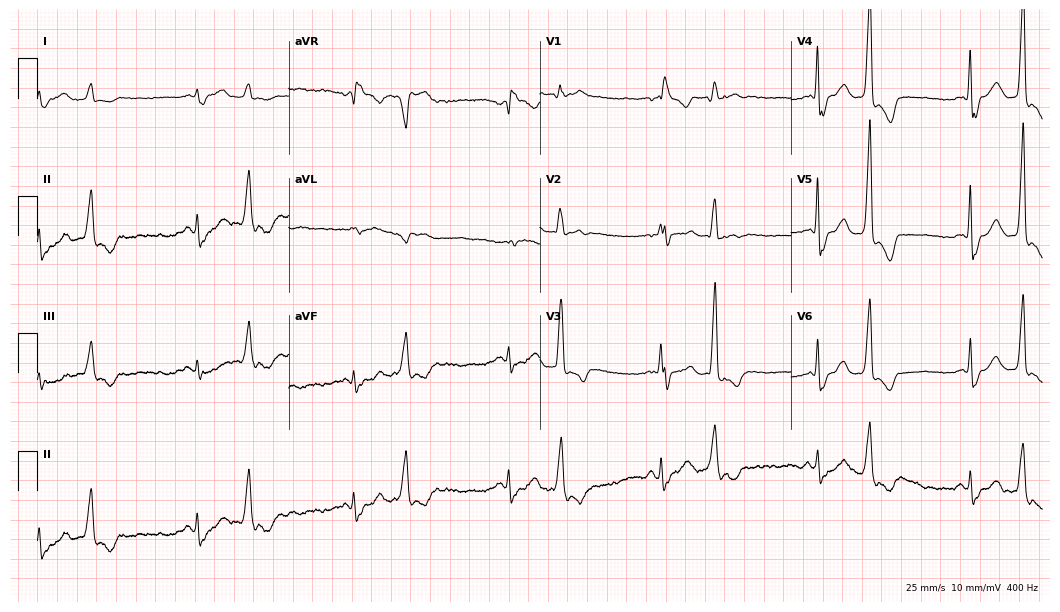
12-lead ECG from a male, 82 years old (10.2-second recording at 400 Hz). Shows first-degree AV block.